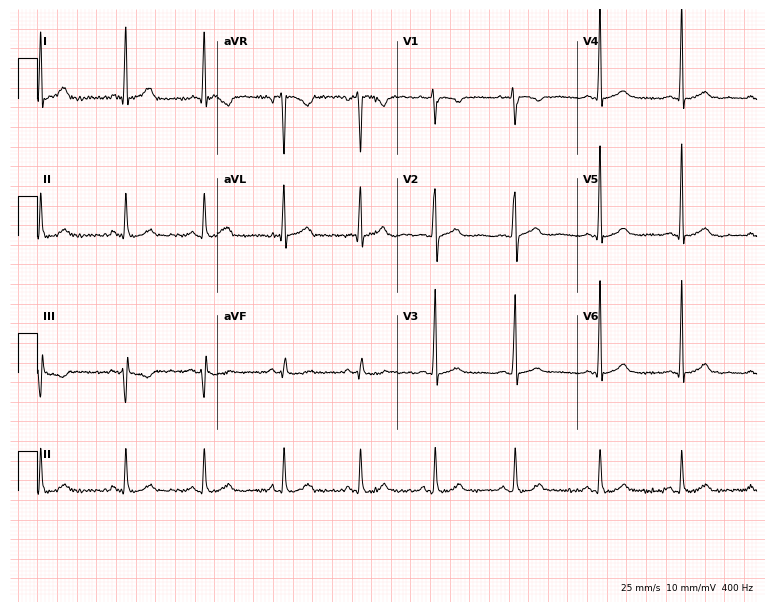
ECG — a 31-year-old female patient. Labelled as a normal ECG.